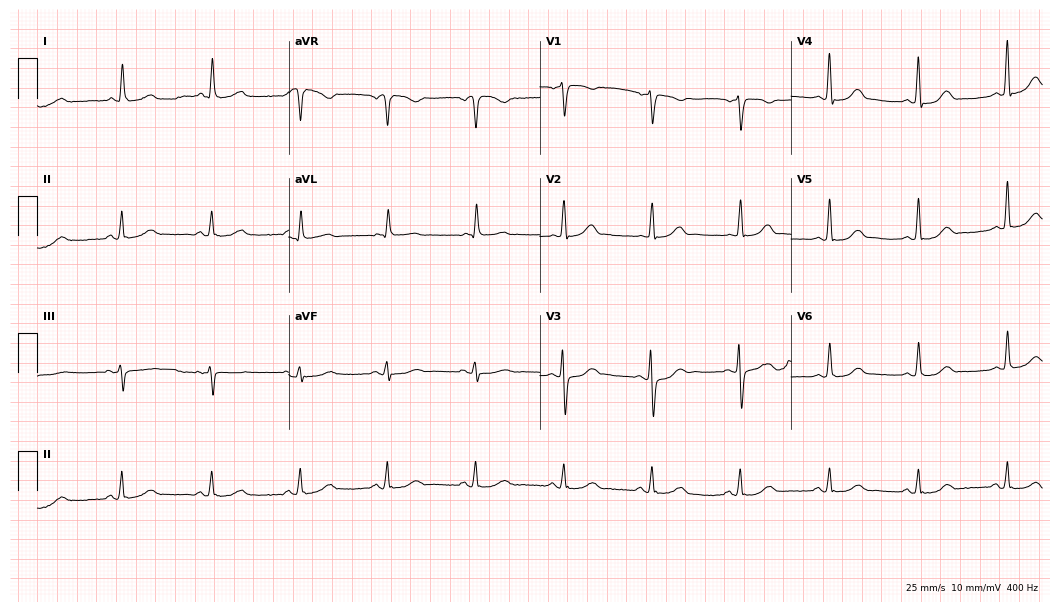
12-lead ECG from a woman, 62 years old. Recorded interpretation: within normal limits.